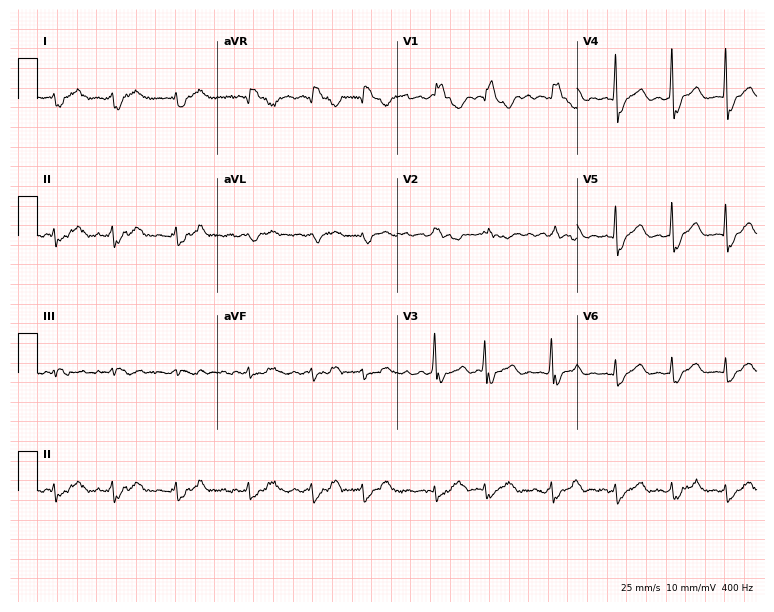
12-lead ECG from a 64-year-old male patient. Findings include right bundle branch block, atrial fibrillation.